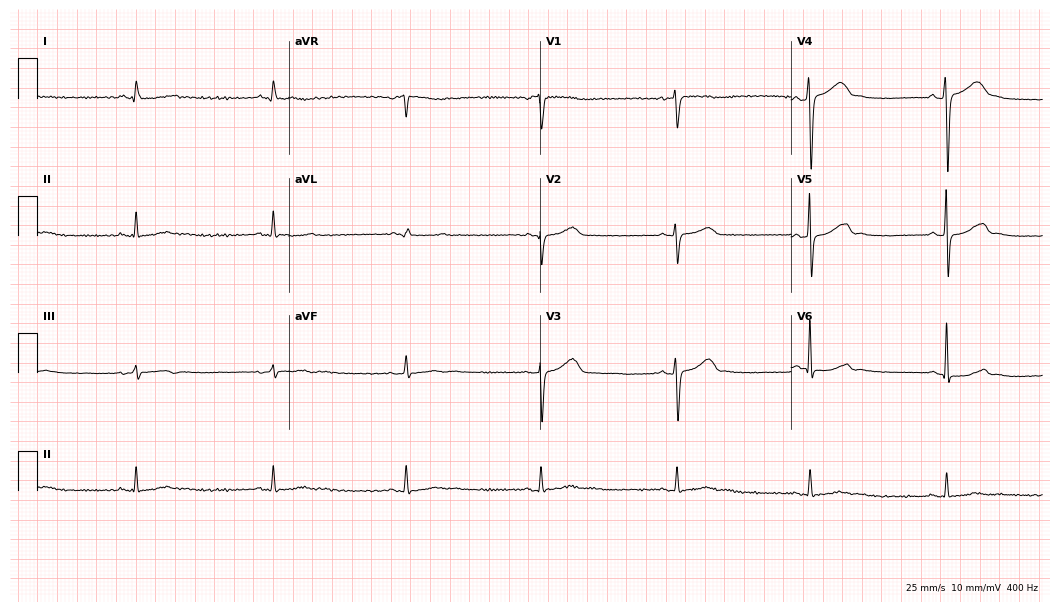
12-lead ECG (10.2-second recording at 400 Hz) from a man, 53 years old. Findings include sinus bradycardia (a sinus rate of 50 beats per minute or less).